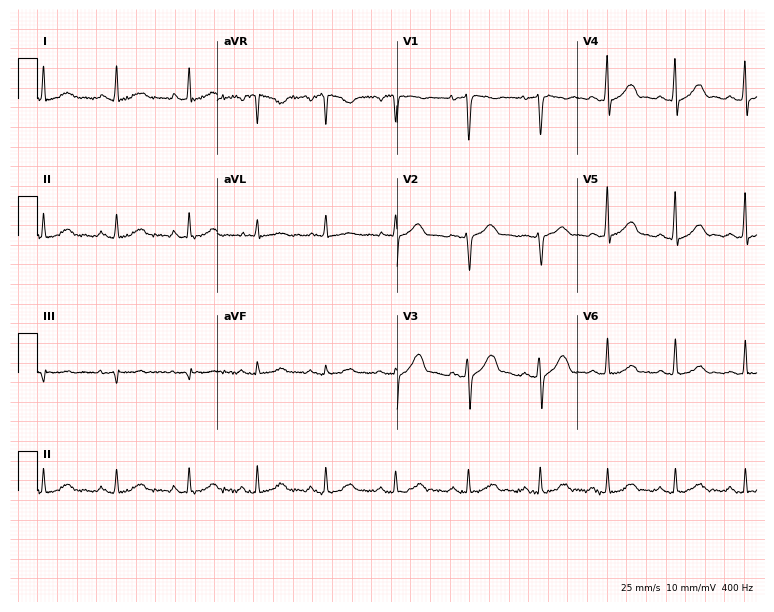
Standard 12-lead ECG recorded from a 38-year-old male patient. Read as a normal ECG.